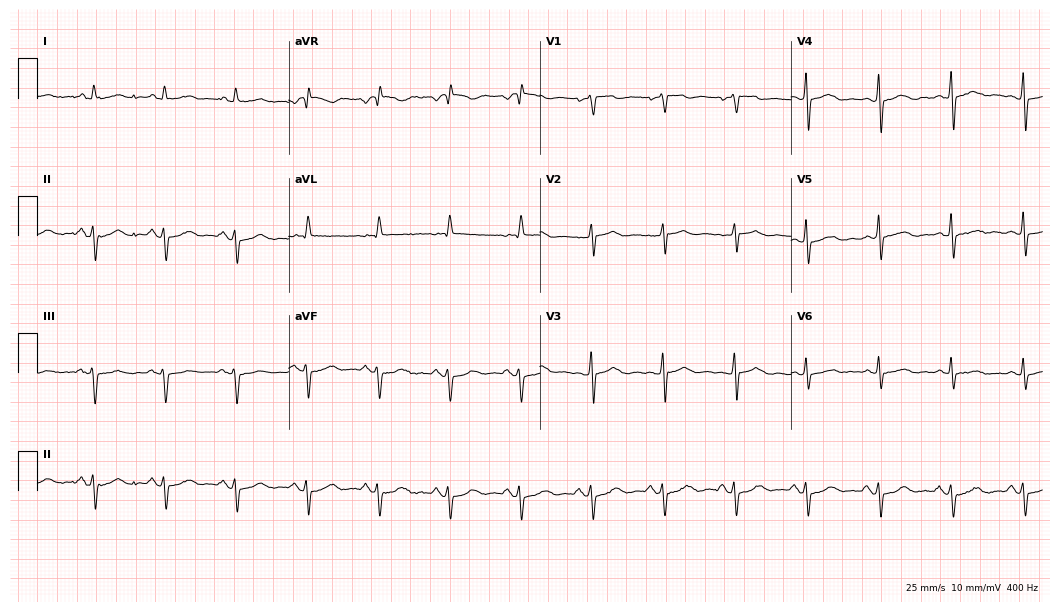
Standard 12-lead ECG recorded from a male, 62 years old (10.2-second recording at 400 Hz). None of these six findings is recorded: first-degree AV block, right bundle branch block (RBBB), left bundle branch block (LBBB), sinus bradycardia, atrial fibrillation (AF), sinus tachycardia.